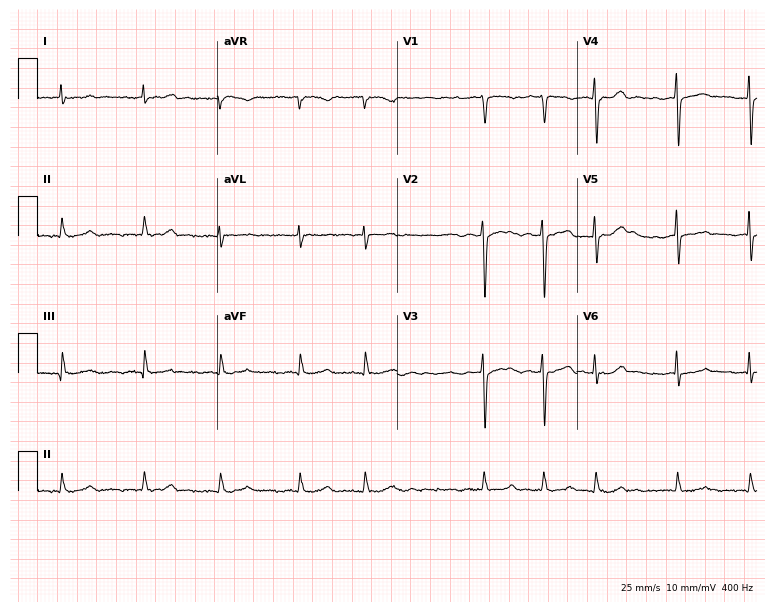
Resting 12-lead electrocardiogram (7.3-second recording at 400 Hz). Patient: a 79-year-old man. The tracing shows atrial fibrillation (AF).